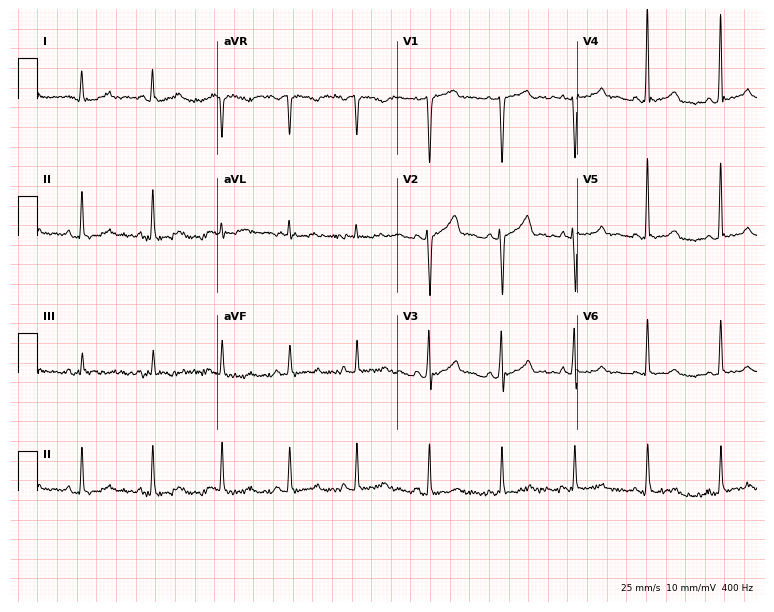
12-lead ECG from a 61-year-old male patient. Labelled as a normal ECG.